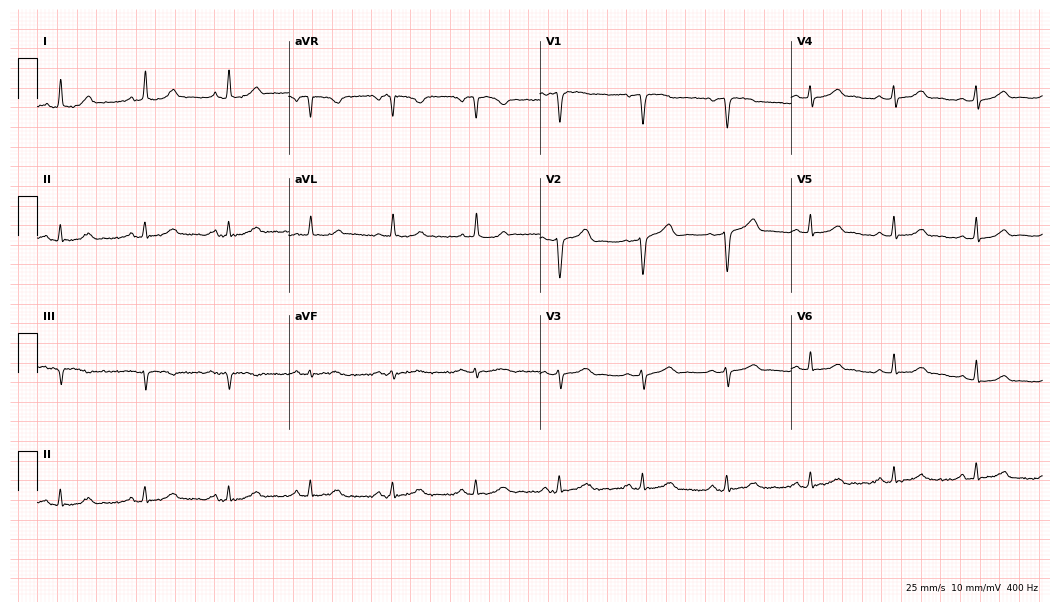
Electrocardiogram (10.2-second recording at 400 Hz), a female patient, 49 years old. Overall reading on record: normal ECG.